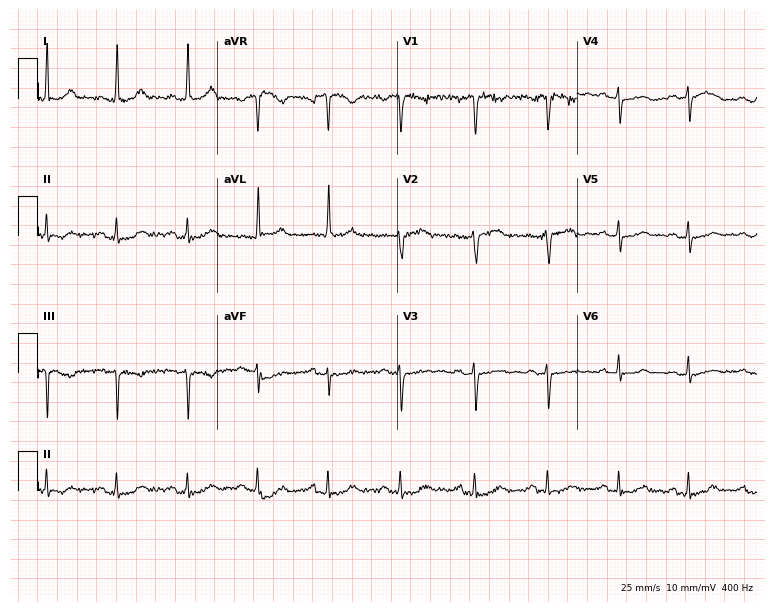
ECG — a woman, 48 years old. Labelled as a normal ECG.